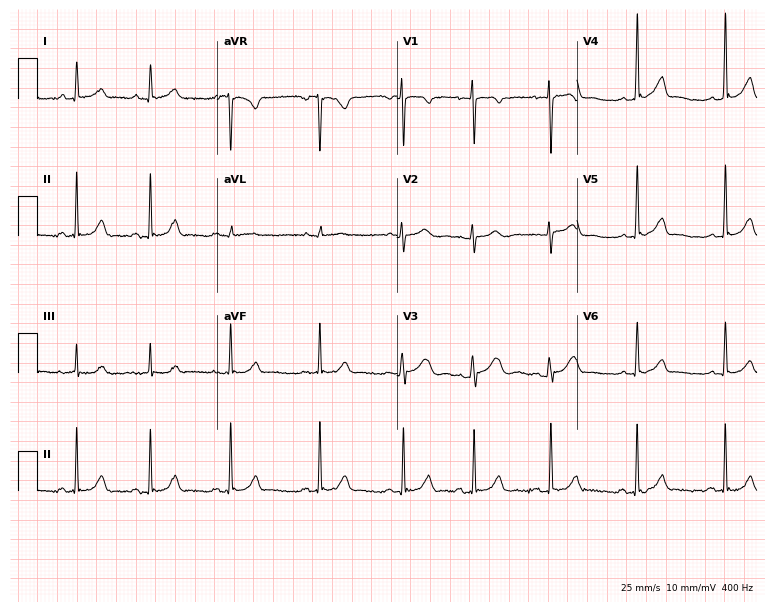
12-lead ECG from a female patient, 19 years old. Screened for six findings — first-degree AV block, right bundle branch block, left bundle branch block, sinus bradycardia, atrial fibrillation, sinus tachycardia — none is recorded. Only these six findings were labelled.